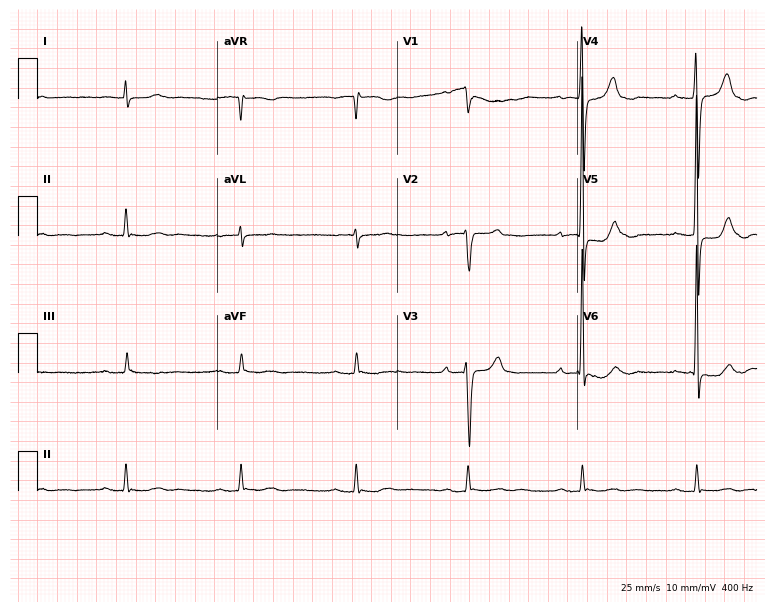
Resting 12-lead electrocardiogram. Patient: a 78-year-old male. The tracing shows first-degree AV block.